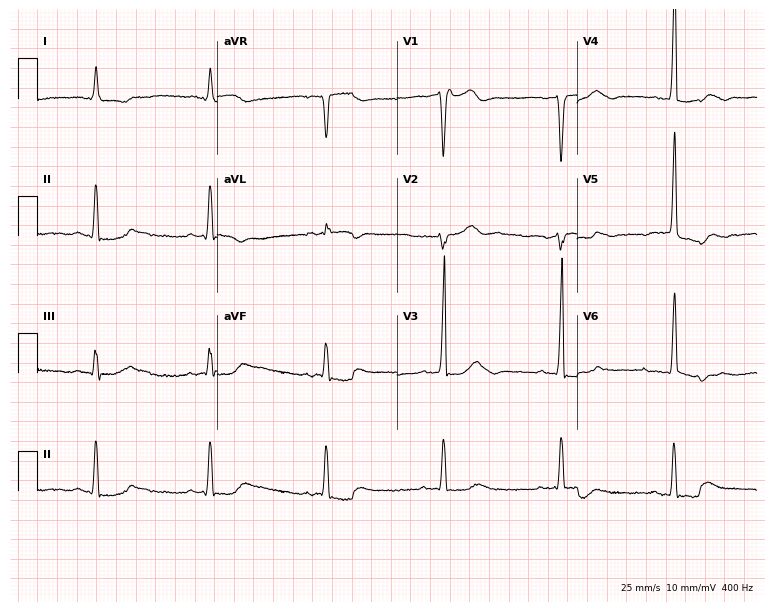
Electrocardiogram (7.3-second recording at 400 Hz), a 75-year-old woman. Of the six screened findings (first-degree AV block, right bundle branch block, left bundle branch block, sinus bradycardia, atrial fibrillation, sinus tachycardia), none is recorded.